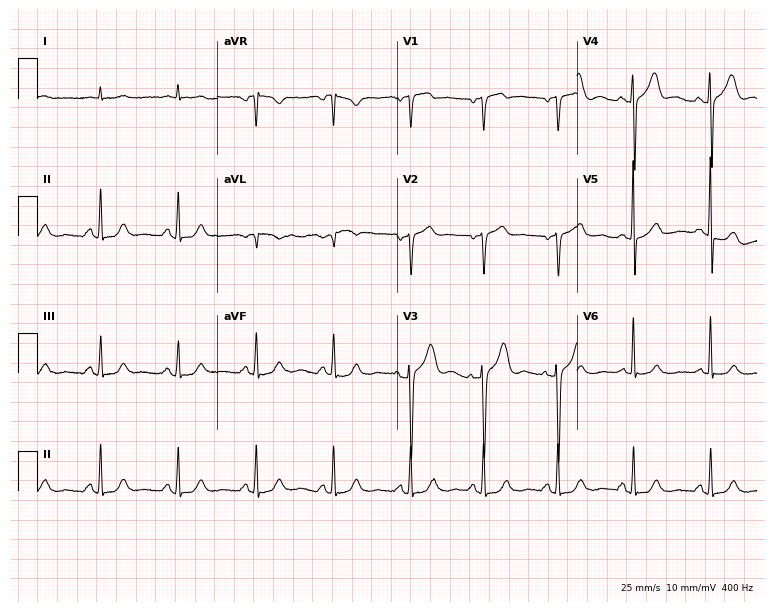
12-lead ECG from a 76-year-old male patient. Screened for six findings — first-degree AV block, right bundle branch block, left bundle branch block, sinus bradycardia, atrial fibrillation, sinus tachycardia — none is recorded. Only these six findings were labelled.